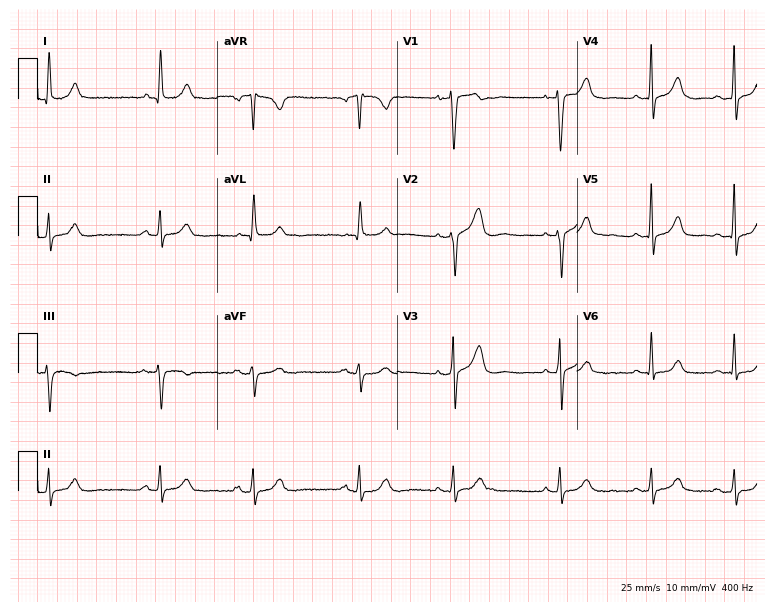
Electrocardiogram, a male patient, 83 years old. Overall reading on record: normal ECG.